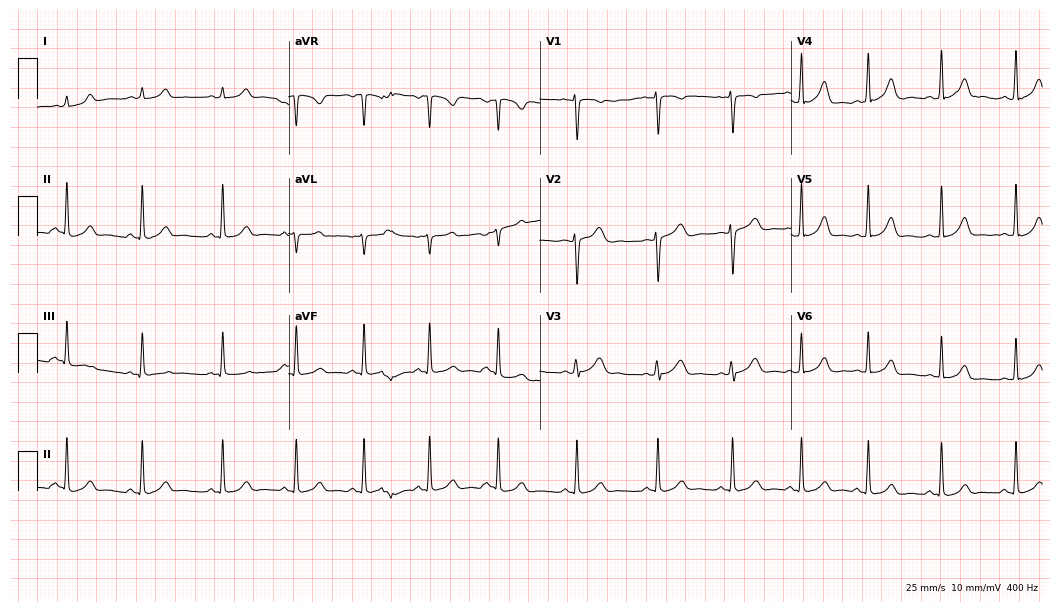
Resting 12-lead electrocardiogram. Patient: a 23-year-old female. Read as a normal ECG.